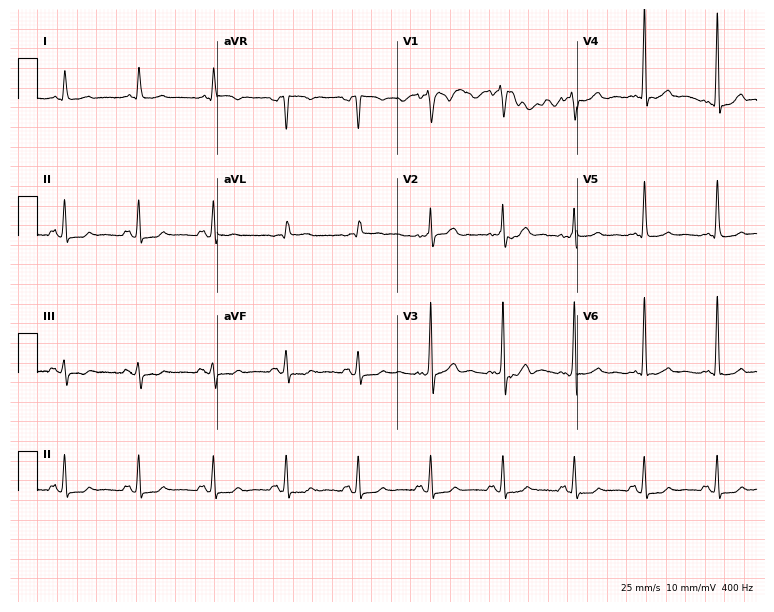
Standard 12-lead ECG recorded from a male, 59 years old. None of these six findings is recorded: first-degree AV block, right bundle branch block (RBBB), left bundle branch block (LBBB), sinus bradycardia, atrial fibrillation (AF), sinus tachycardia.